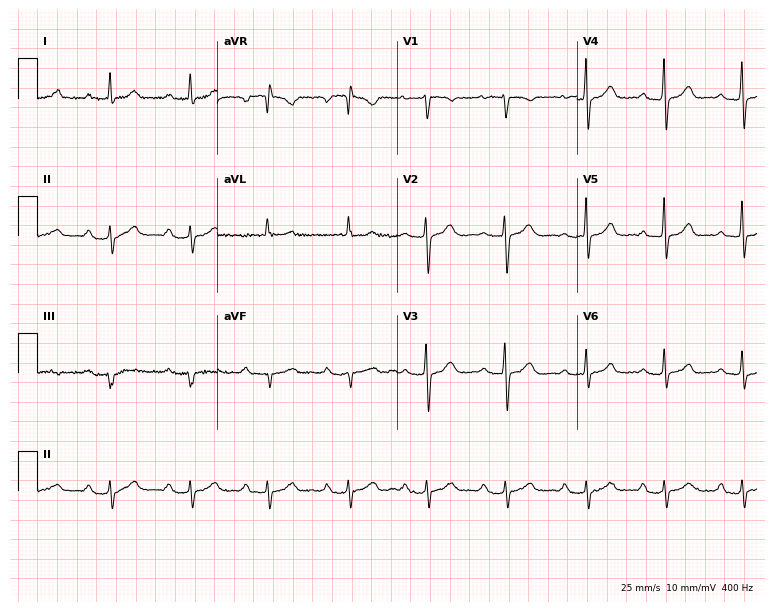
Electrocardiogram, a woman, 68 years old. Interpretation includes first-degree AV block.